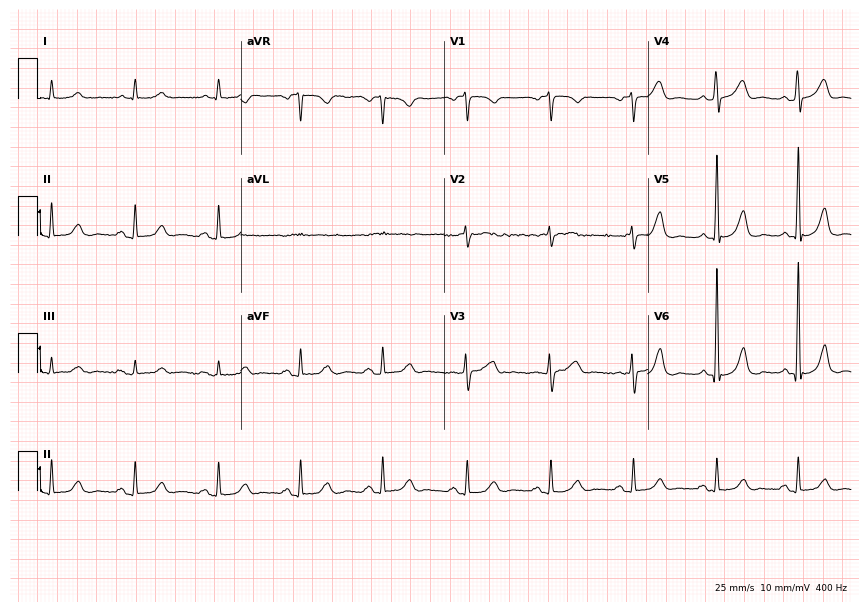
12-lead ECG (8.3-second recording at 400 Hz) from a 73-year-old male. Labelled as a normal ECG.